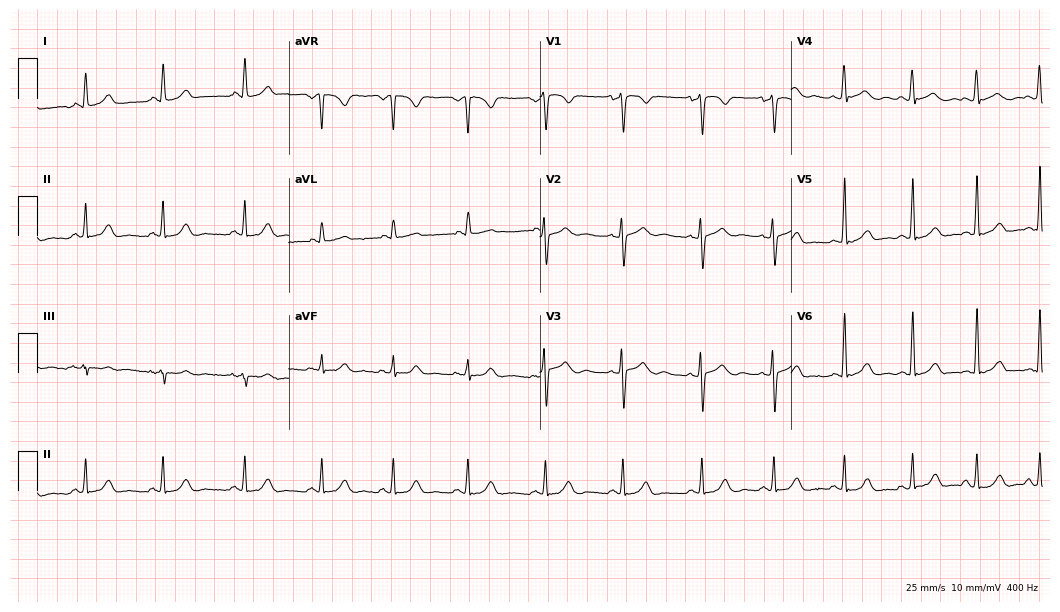
12-lead ECG (10.2-second recording at 400 Hz) from a woman, 22 years old. Screened for six findings — first-degree AV block, right bundle branch block, left bundle branch block, sinus bradycardia, atrial fibrillation, sinus tachycardia — none is recorded. Only these six findings were labelled.